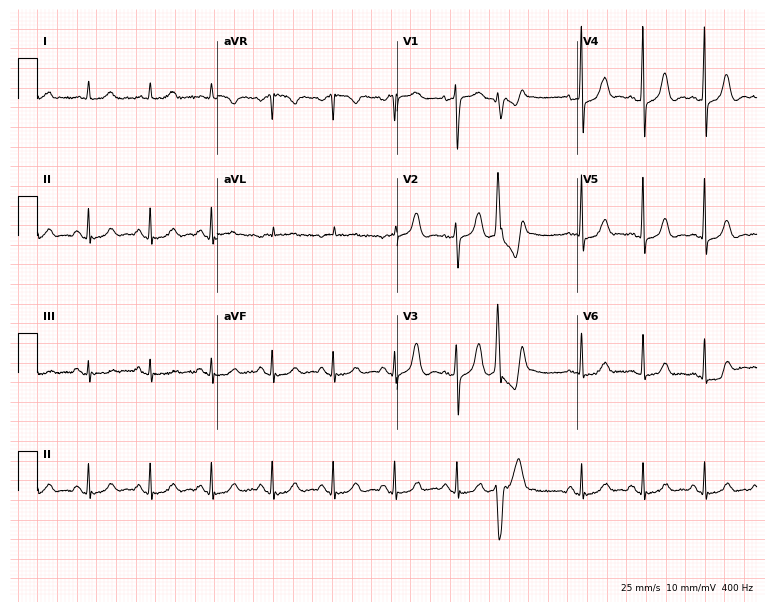
Standard 12-lead ECG recorded from an 84-year-old female. None of these six findings is recorded: first-degree AV block, right bundle branch block (RBBB), left bundle branch block (LBBB), sinus bradycardia, atrial fibrillation (AF), sinus tachycardia.